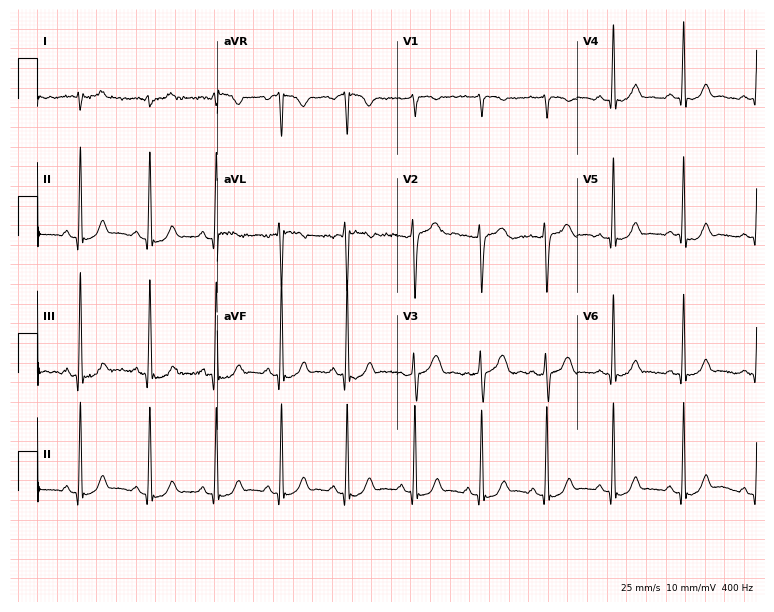
Standard 12-lead ECG recorded from a female patient, 27 years old. Read as a normal ECG.